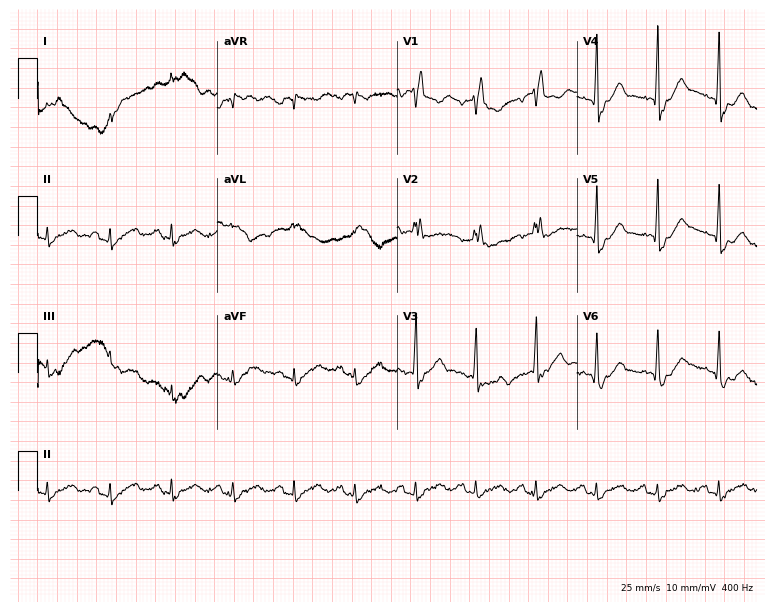
ECG (7.3-second recording at 400 Hz) — an 82-year-old male patient. Screened for six findings — first-degree AV block, right bundle branch block (RBBB), left bundle branch block (LBBB), sinus bradycardia, atrial fibrillation (AF), sinus tachycardia — none is recorded. Findings outside these six are not listed.